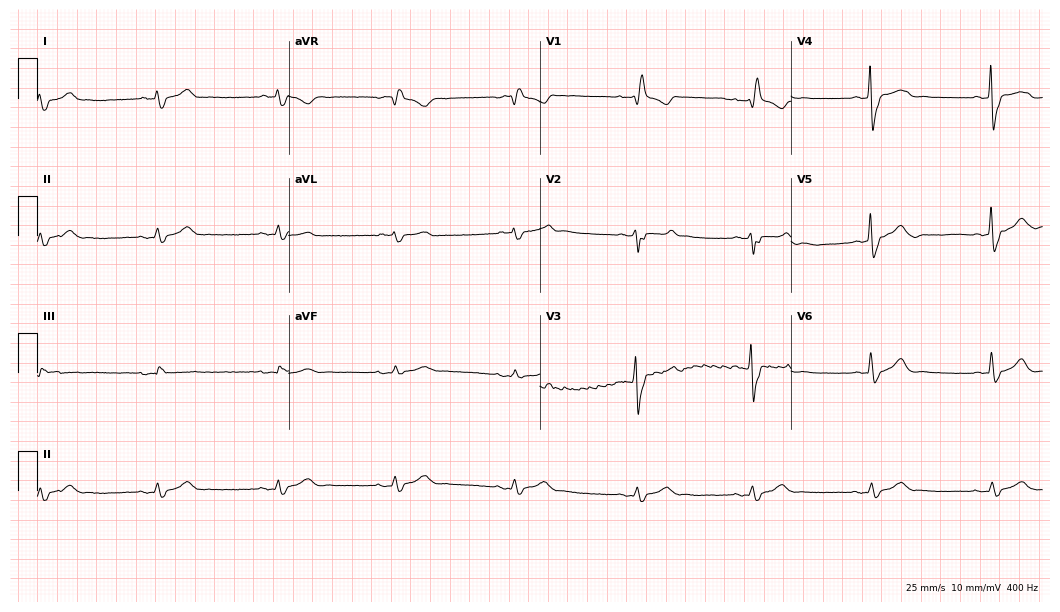
12-lead ECG from a 58-year-old male patient. Shows right bundle branch block.